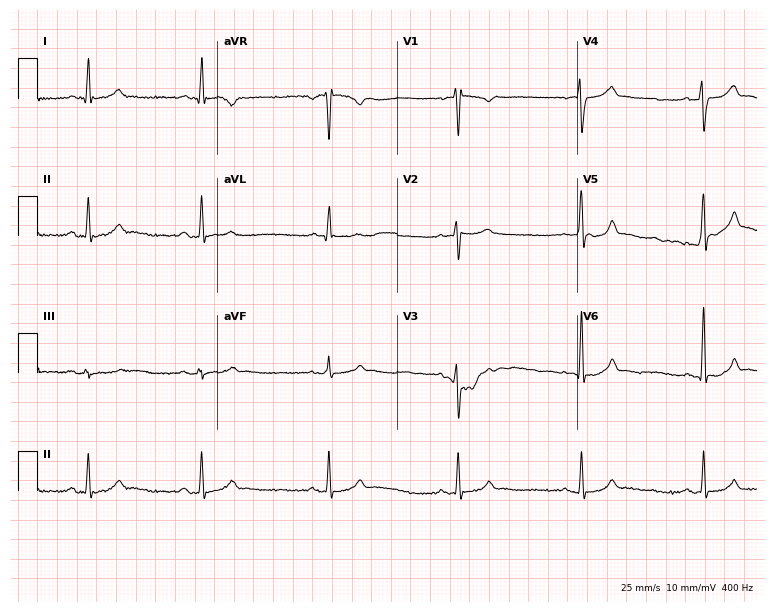
12-lead ECG from a 32-year-old man. Findings include sinus bradycardia (a sinus rate of 50 beats per minute or less).